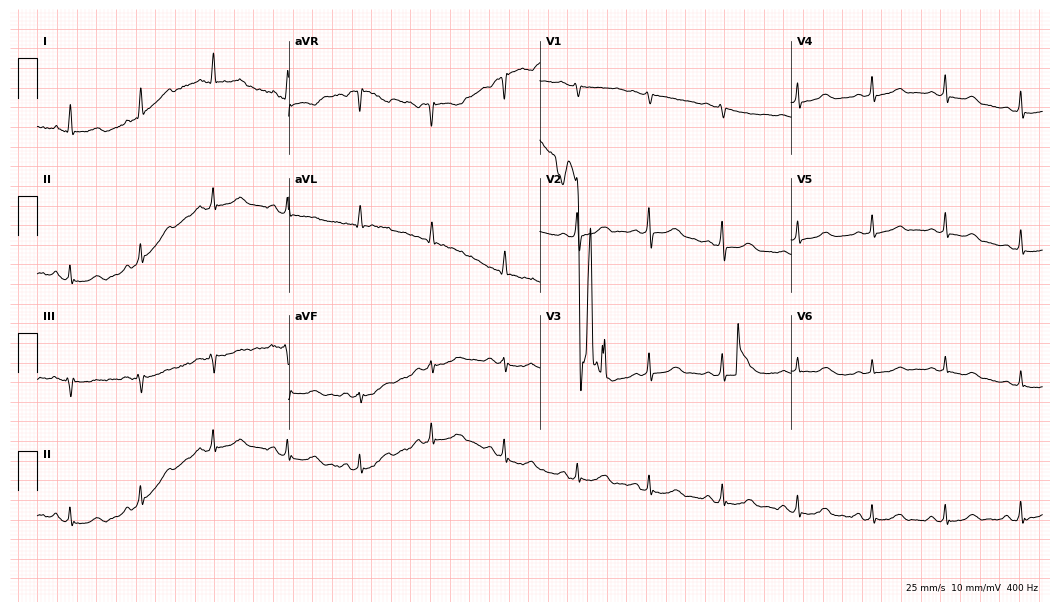
12-lead ECG (10.2-second recording at 400 Hz) from a woman, 34 years old. Screened for six findings — first-degree AV block, right bundle branch block (RBBB), left bundle branch block (LBBB), sinus bradycardia, atrial fibrillation (AF), sinus tachycardia — none is recorded.